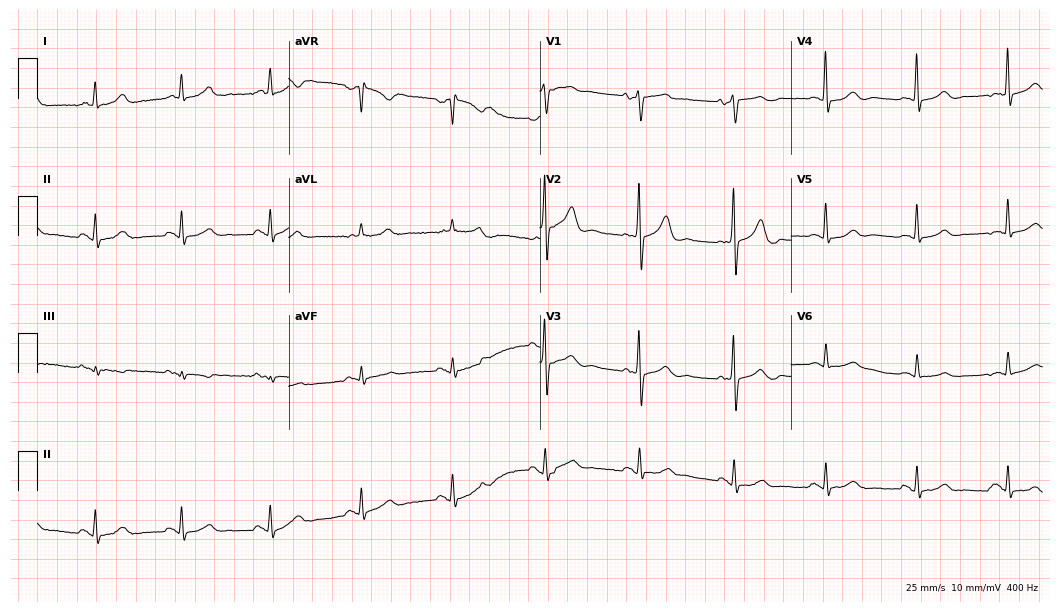
12-lead ECG from a 75-year-old female (10.2-second recording at 400 Hz). Recorded interpretation: within normal limits.